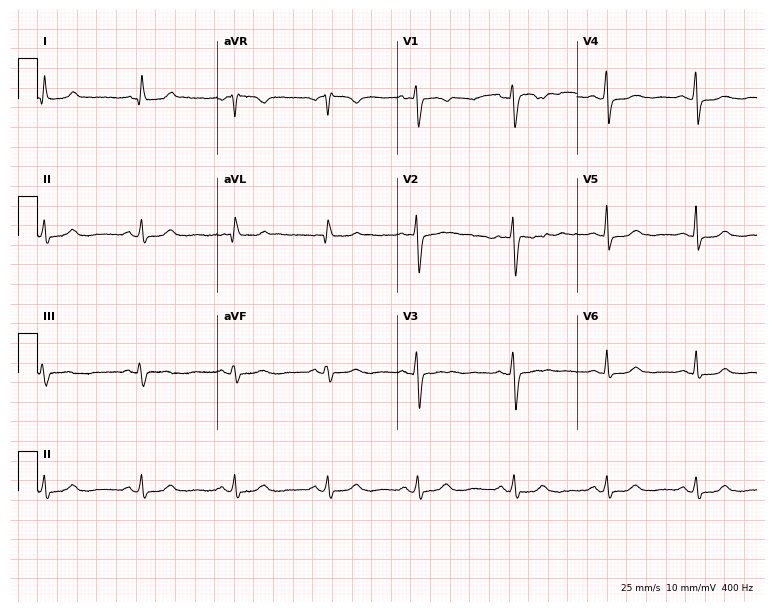
Electrocardiogram (7.3-second recording at 400 Hz), a 48-year-old female patient. Of the six screened findings (first-degree AV block, right bundle branch block, left bundle branch block, sinus bradycardia, atrial fibrillation, sinus tachycardia), none is recorded. Other findings, if any, are not listed.